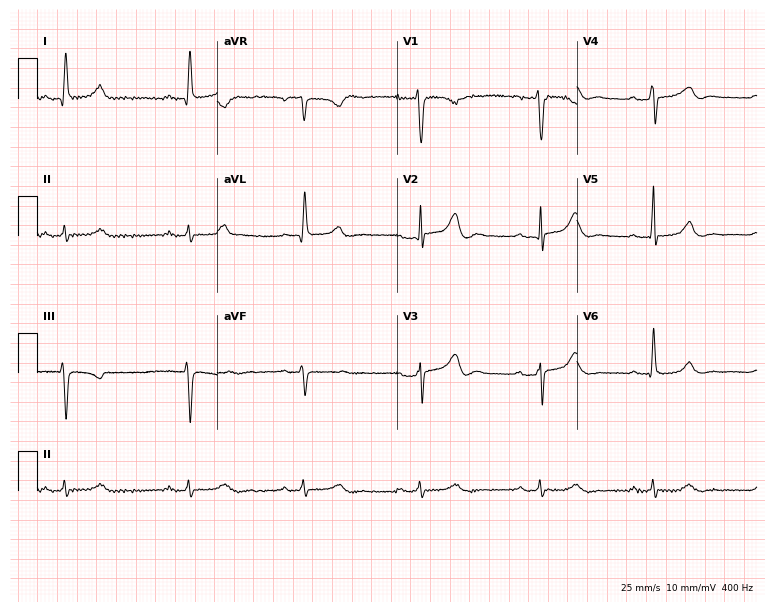
Resting 12-lead electrocardiogram. Patient: a male, 59 years old. Read as a normal ECG.